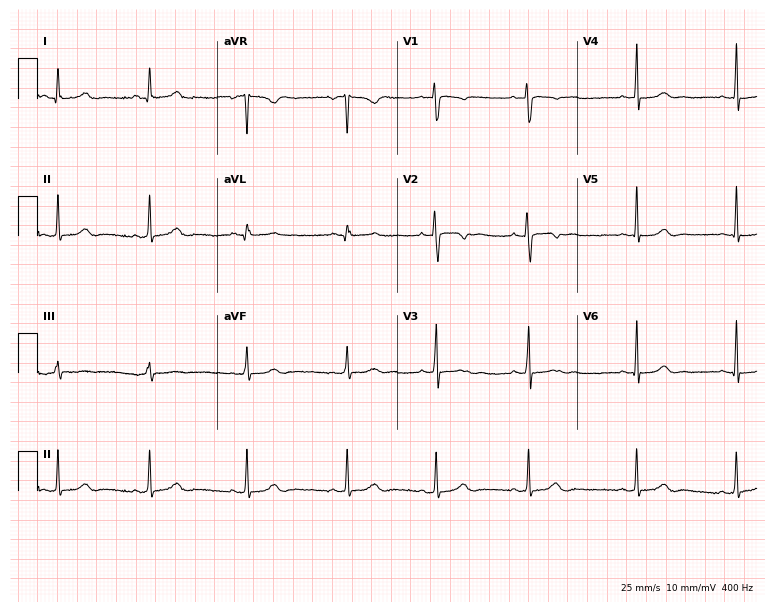
Resting 12-lead electrocardiogram (7.3-second recording at 400 Hz). Patient: a female, 18 years old. None of these six findings is recorded: first-degree AV block, right bundle branch block (RBBB), left bundle branch block (LBBB), sinus bradycardia, atrial fibrillation (AF), sinus tachycardia. Other findings, if any, are not listed.